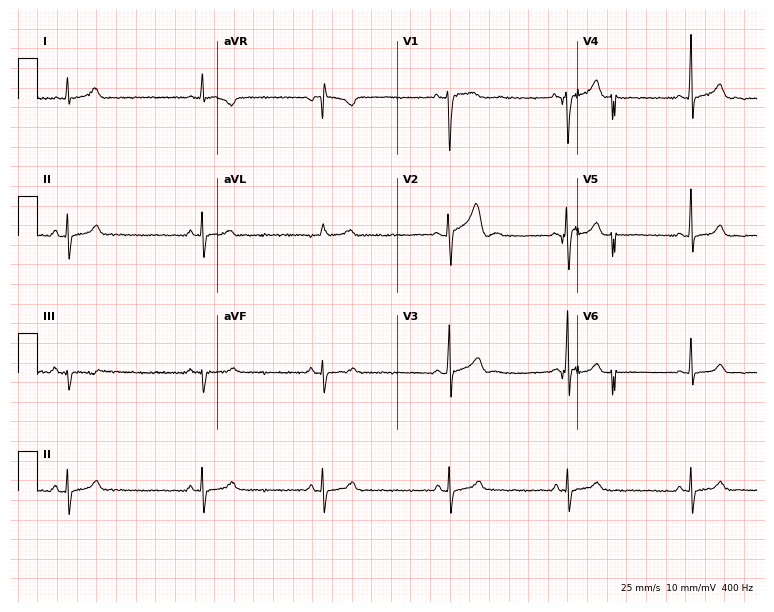
Resting 12-lead electrocardiogram. Patient: an 18-year-old man. The tracing shows sinus bradycardia (a sinus rate of 50 beats per minute or less).